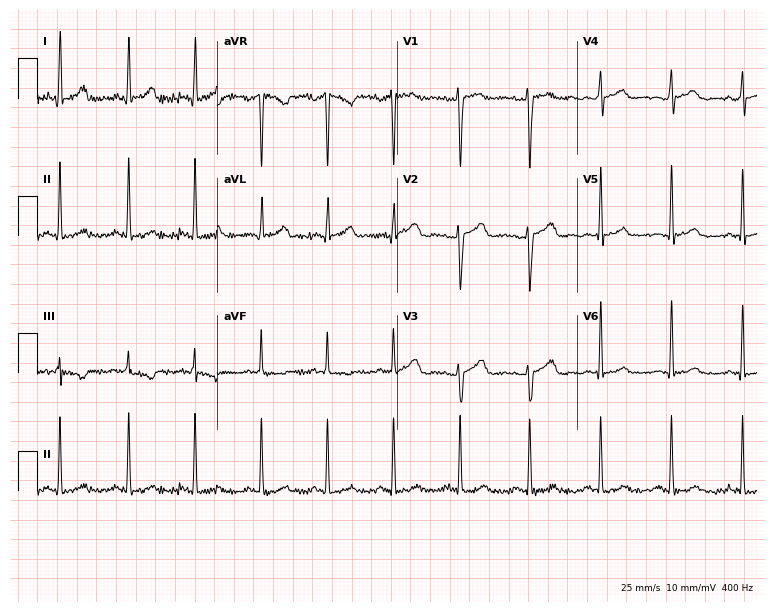
Resting 12-lead electrocardiogram. Patient: a female, 33 years old. Read as a normal ECG.